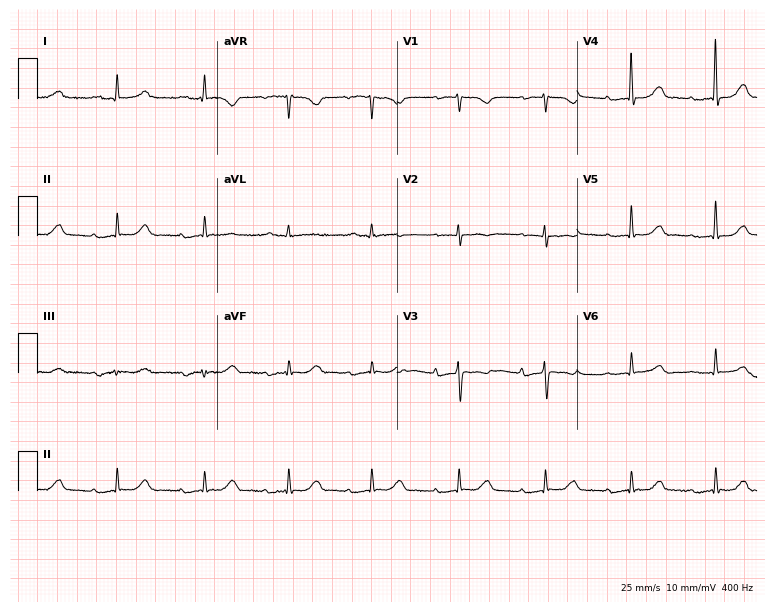
12-lead ECG from a female patient, 80 years old. Screened for six findings — first-degree AV block, right bundle branch block, left bundle branch block, sinus bradycardia, atrial fibrillation, sinus tachycardia — none is recorded. Only these six findings were labelled.